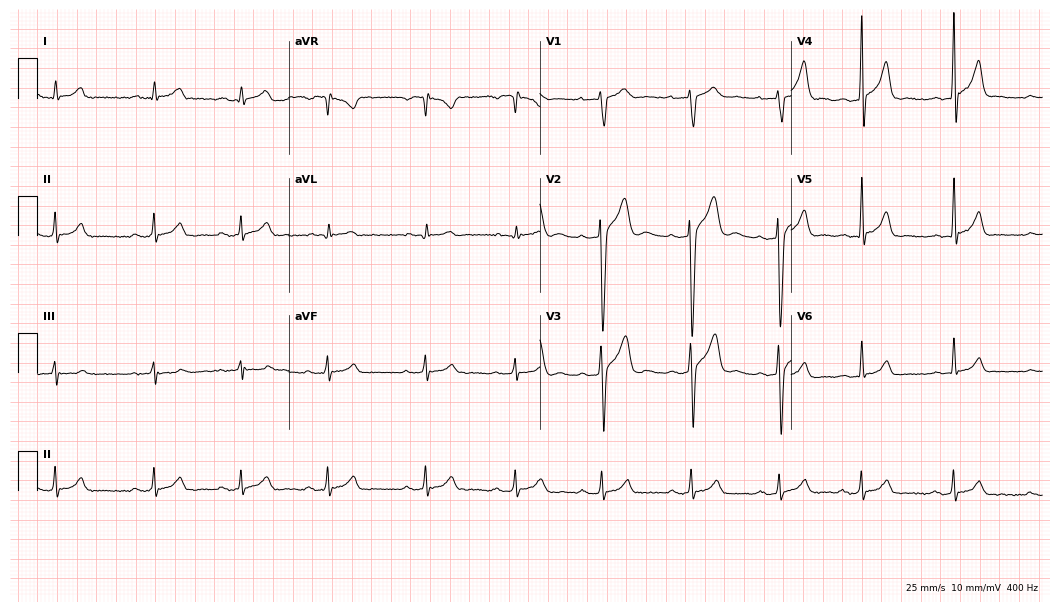
Standard 12-lead ECG recorded from a 26-year-old male. Read as a normal ECG.